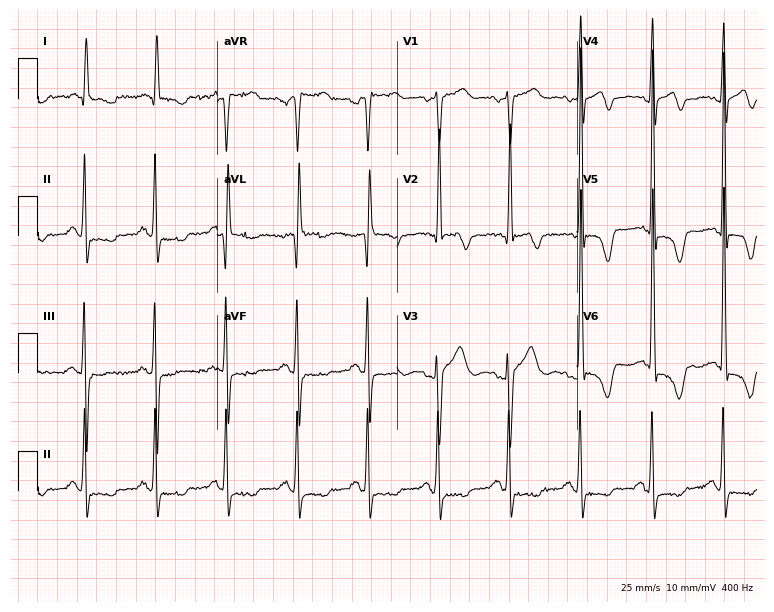
12-lead ECG from a female, 84 years old (7.3-second recording at 400 Hz). No first-degree AV block, right bundle branch block (RBBB), left bundle branch block (LBBB), sinus bradycardia, atrial fibrillation (AF) or sinus tachycardia recorded for this tracing. Other findings, if any, are not listed.